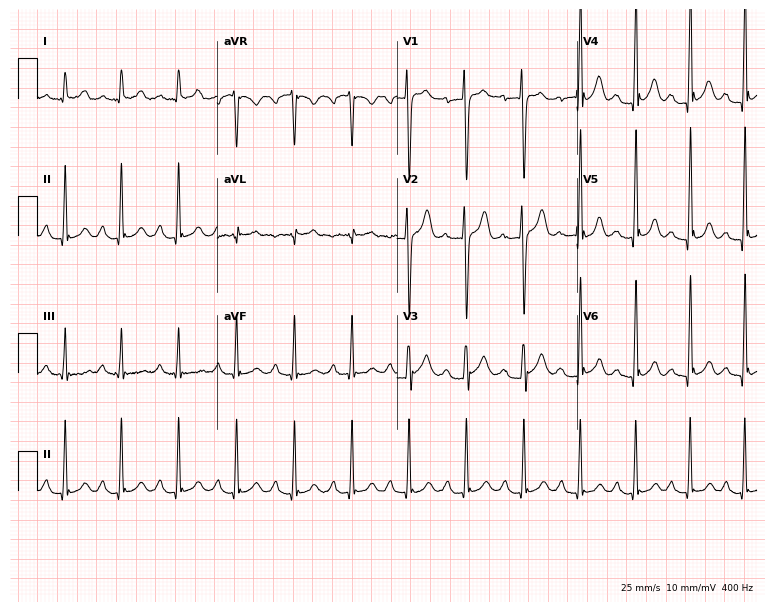
Electrocardiogram, a male, 30 years old. Overall reading on record: normal ECG.